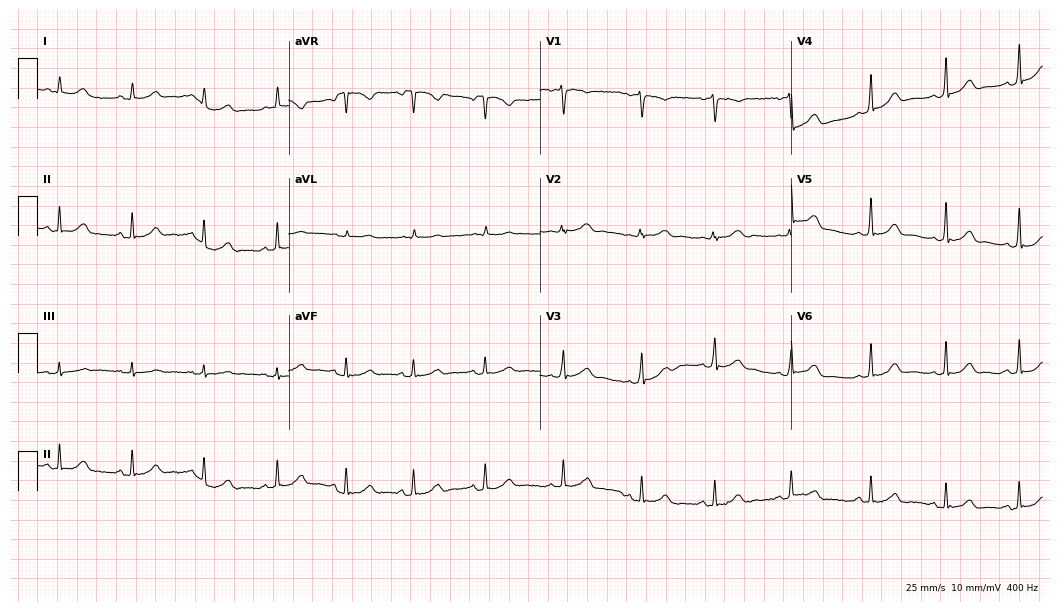
Electrocardiogram (10.2-second recording at 400 Hz), a 21-year-old woman. Overall reading on record: normal ECG.